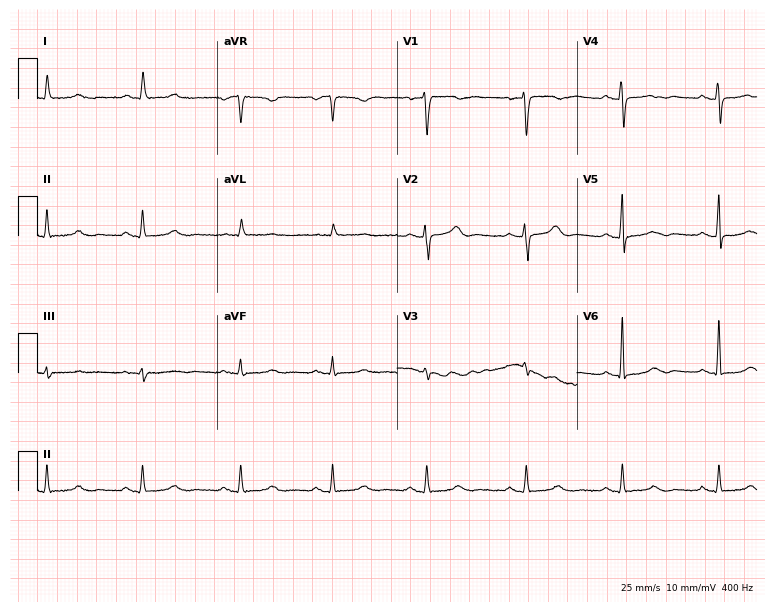
12-lead ECG from a female, 45 years old. Screened for six findings — first-degree AV block, right bundle branch block, left bundle branch block, sinus bradycardia, atrial fibrillation, sinus tachycardia — none is recorded.